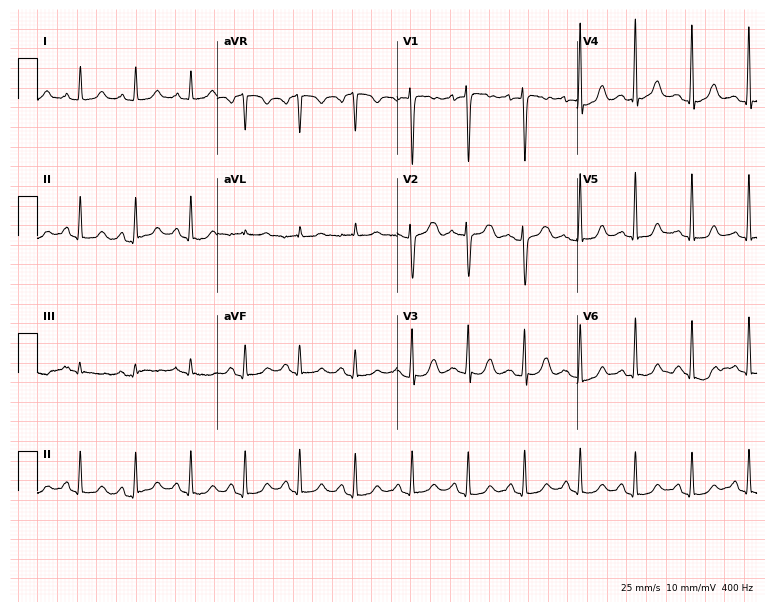
Standard 12-lead ECG recorded from a female patient, 48 years old. The tracing shows sinus tachycardia (a sinus rate of 100 beats per minute or more).